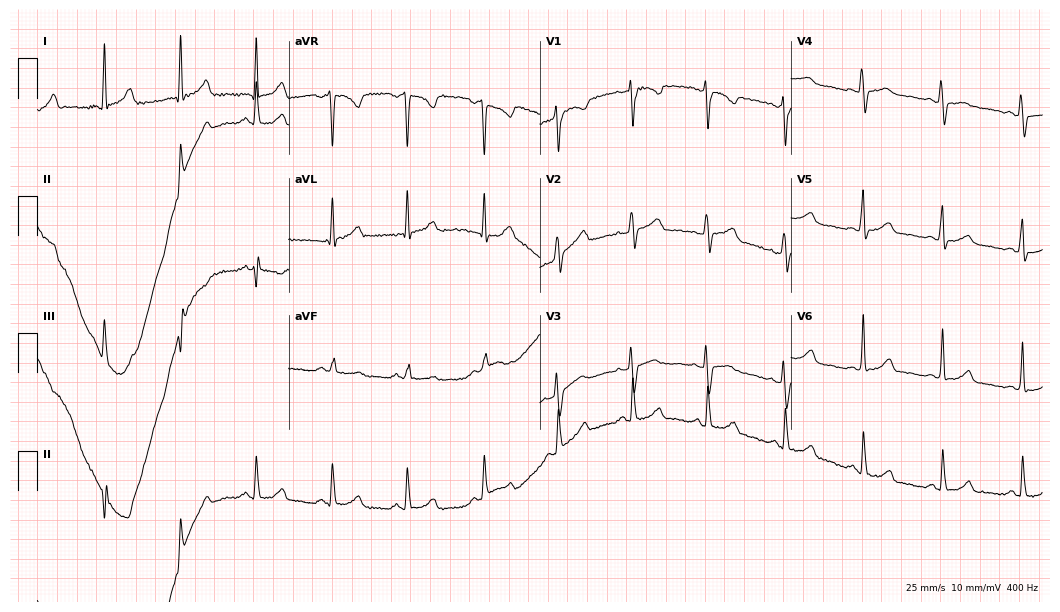
12-lead ECG from a 23-year-old woman. Recorded interpretation: within normal limits.